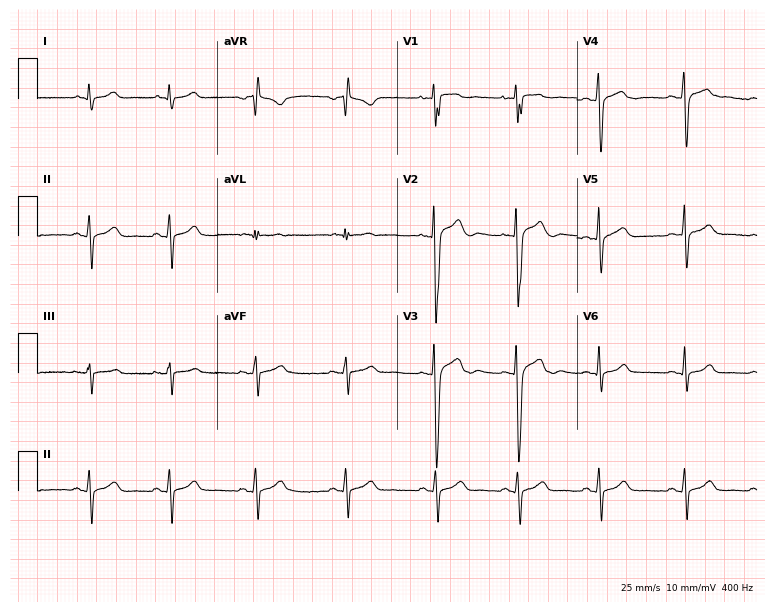
Resting 12-lead electrocardiogram (7.3-second recording at 400 Hz). Patient: a woman, 21 years old. None of these six findings is recorded: first-degree AV block, right bundle branch block, left bundle branch block, sinus bradycardia, atrial fibrillation, sinus tachycardia. Findings outside these six are not listed.